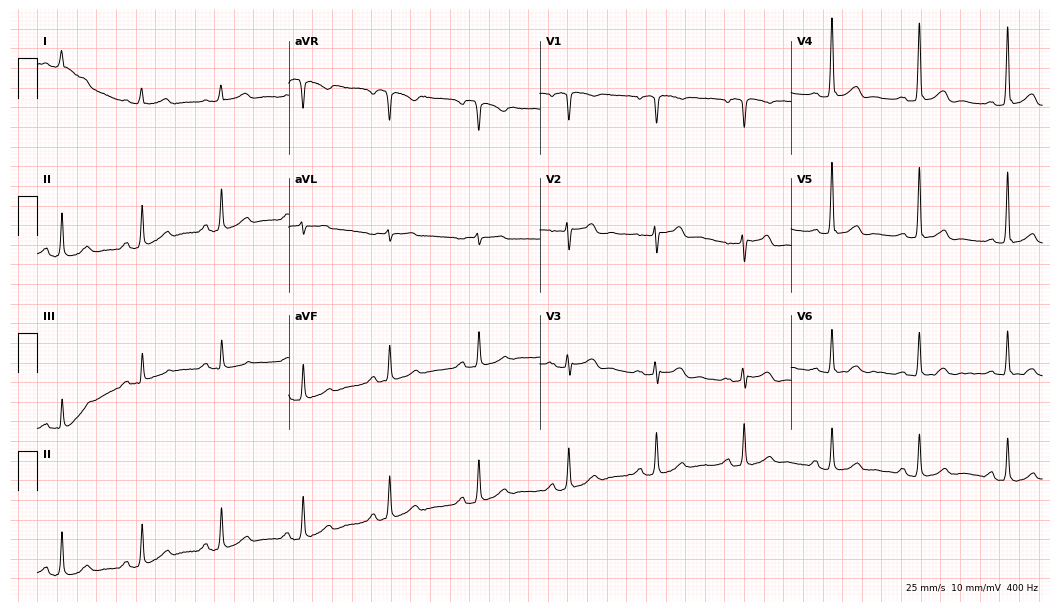
Resting 12-lead electrocardiogram. Patient: a male, 66 years old. Read as a normal ECG.